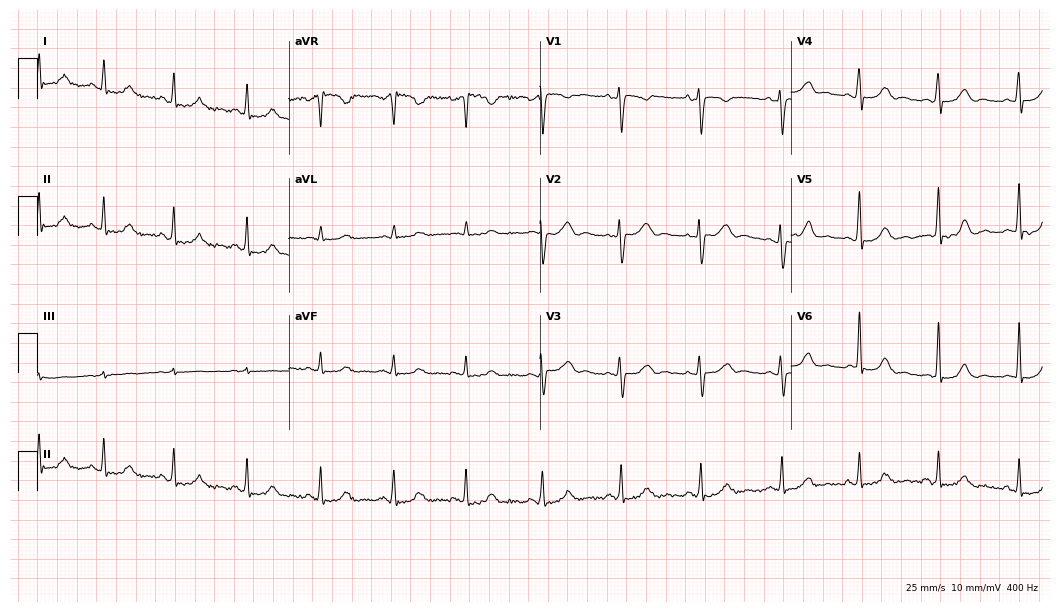
Resting 12-lead electrocardiogram (10.2-second recording at 400 Hz). Patient: a female, 60 years old. Read as a normal ECG.